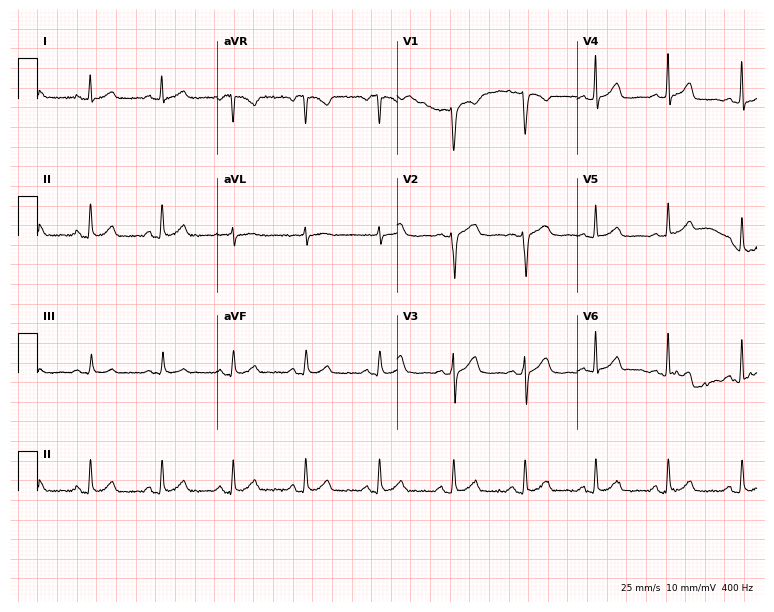
ECG — a woman, 44 years old. Screened for six findings — first-degree AV block, right bundle branch block (RBBB), left bundle branch block (LBBB), sinus bradycardia, atrial fibrillation (AF), sinus tachycardia — none is recorded. Findings outside these six are not listed.